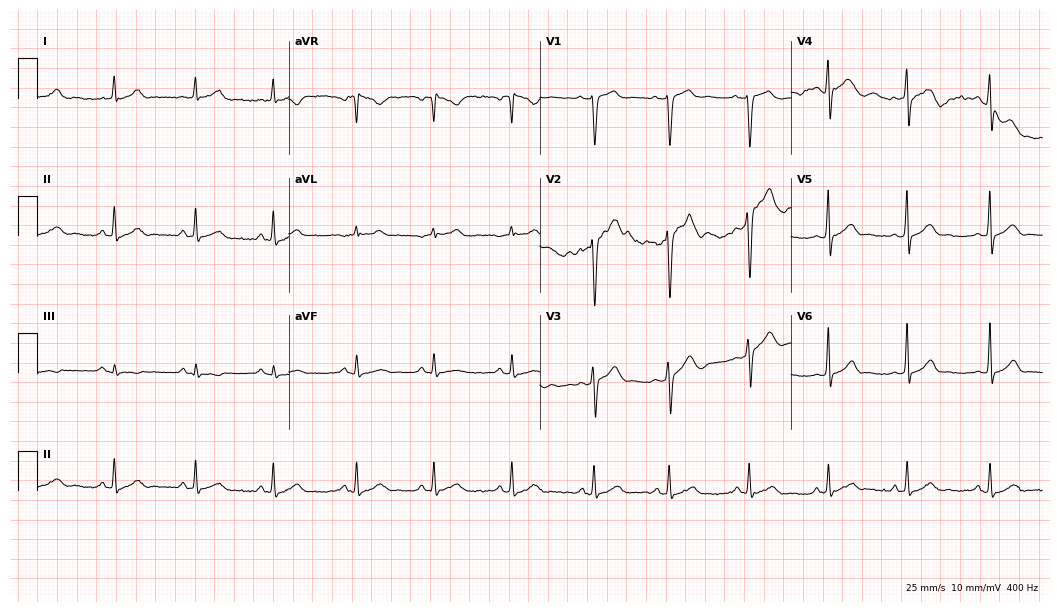
12-lead ECG (10.2-second recording at 400 Hz) from a 22-year-old male. Labelled as a normal ECG.